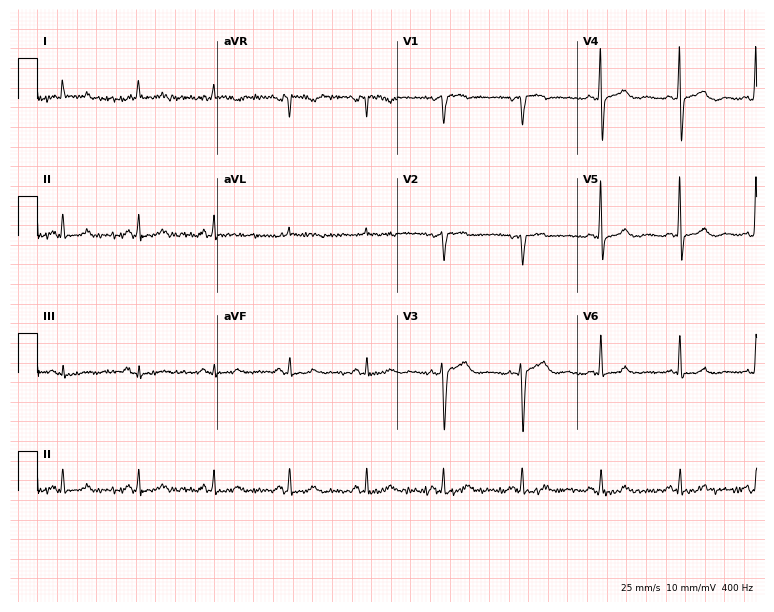
Standard 12-lead ECG recorded from a man, 74 years old (7.3-second recording at 400 Hz). None of these six findings is recorded: first-degree AV block, right bundle branch block, left bundle branch block, sinus bradycardia, atrial fibrillation, sinus tachycardia.